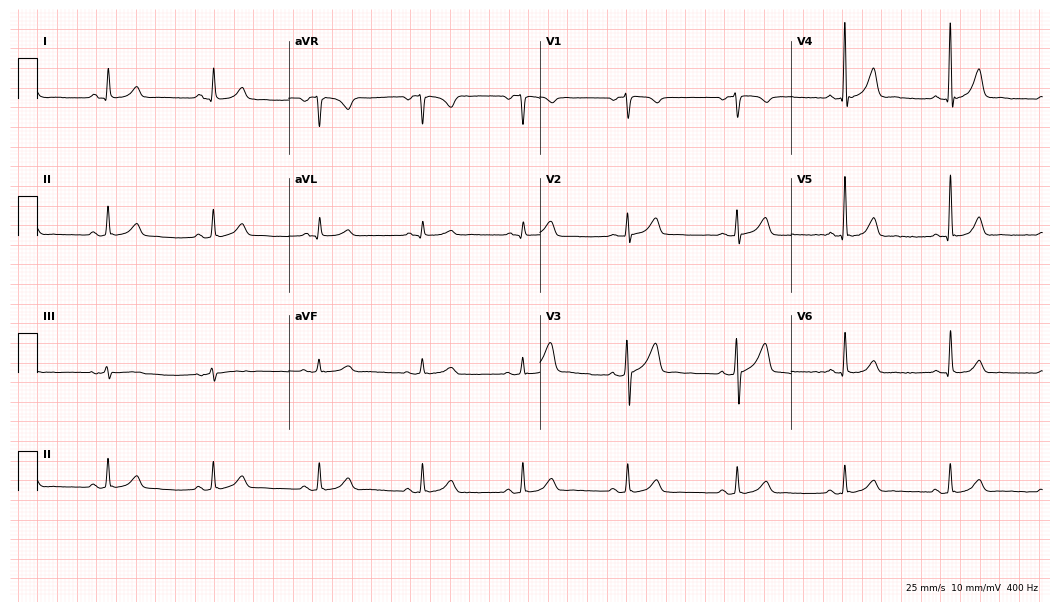
Electrocardiogram (10.2-second recording at 400 Hz), a male, 45 years old. Of the six screened findings (first-degree AV block, right bundle branch block, left bundle branch block, sinus bradycardia, atrial fibrillation, sinus tachycardia), none is recorded. Other findings, if any, are not listed.